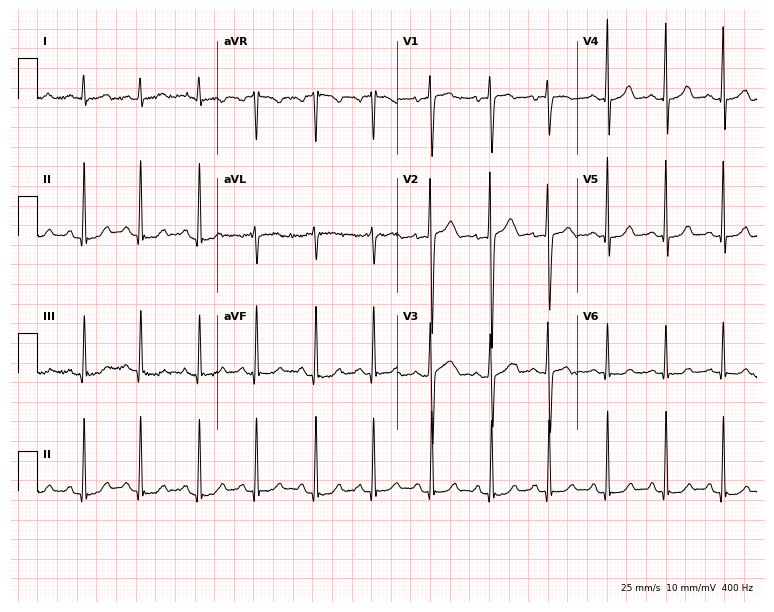
12-lead ECG (7.3-second recording at 400 Hz) from a female, 29 years old. Findings include sinus tachycardia (a sinus rate of 100 beats per minute or more).